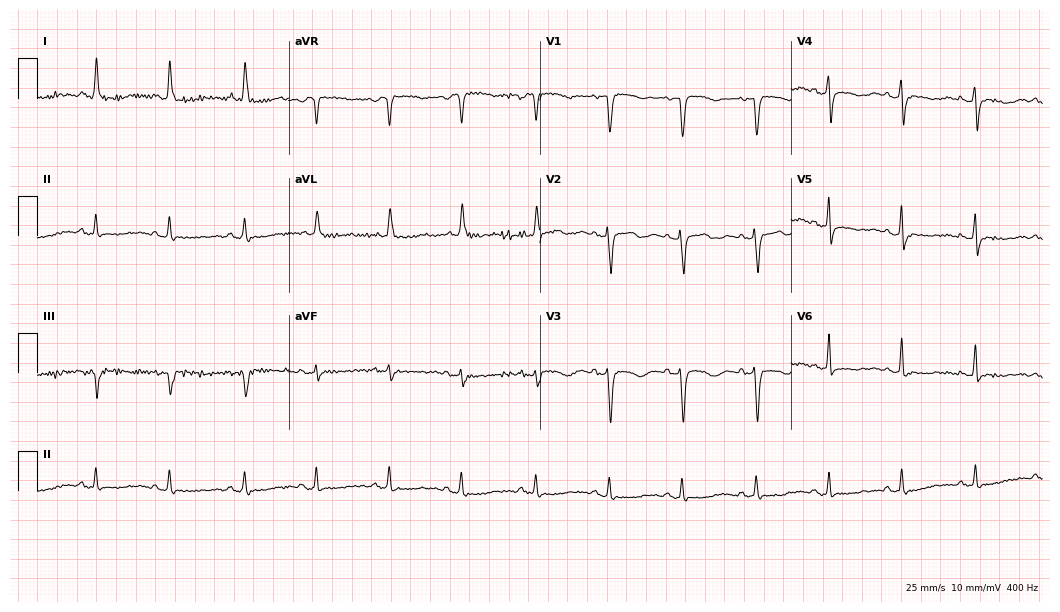
Electrocardiogram, a woman, 67 years old. Of the six screened findings (first-degree AV block, right bundle branch block (RBBB), left bundle branch block (LBBB), sinus bradycardia, atrial fibrillation (AF), sinus tachycardia), none is recorded. Other findings, if any, are not listed.